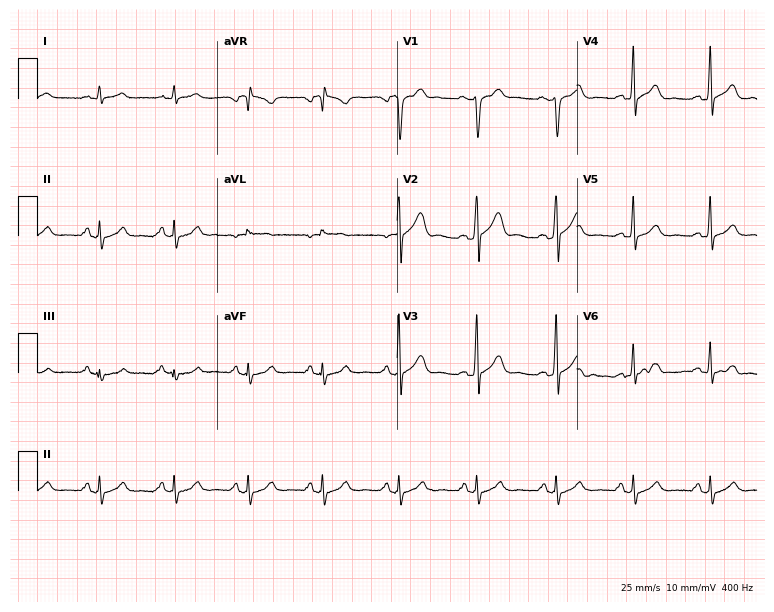
12-lead ECG (7.3-second recording at 400 Hz) from a male patient, 56 years old. Labelled as a normal ECG.